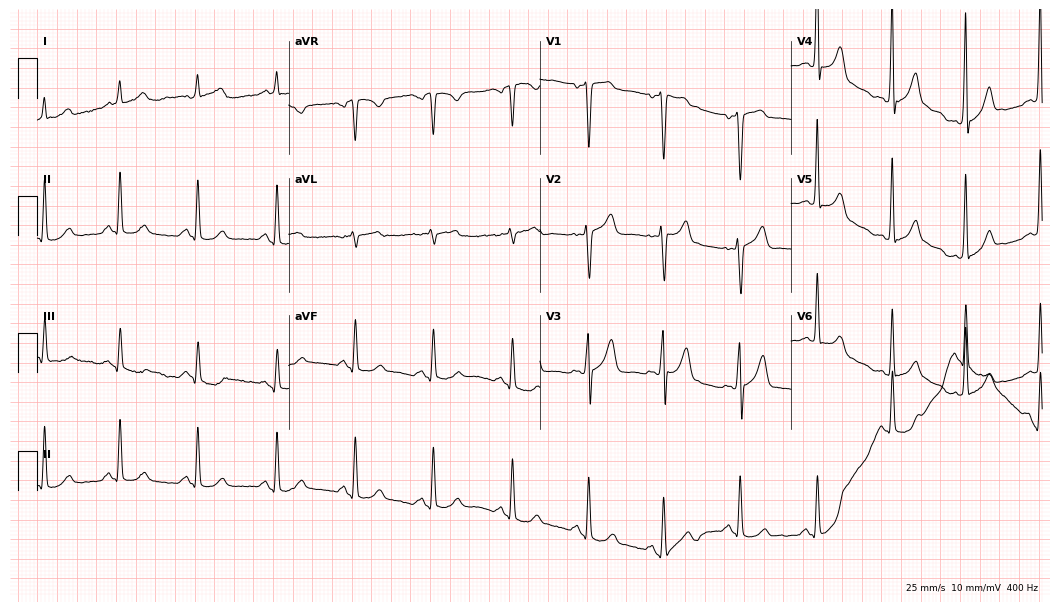
12-lead ECG from a female, 39 years old. Recorded interpretation: within normal limits.